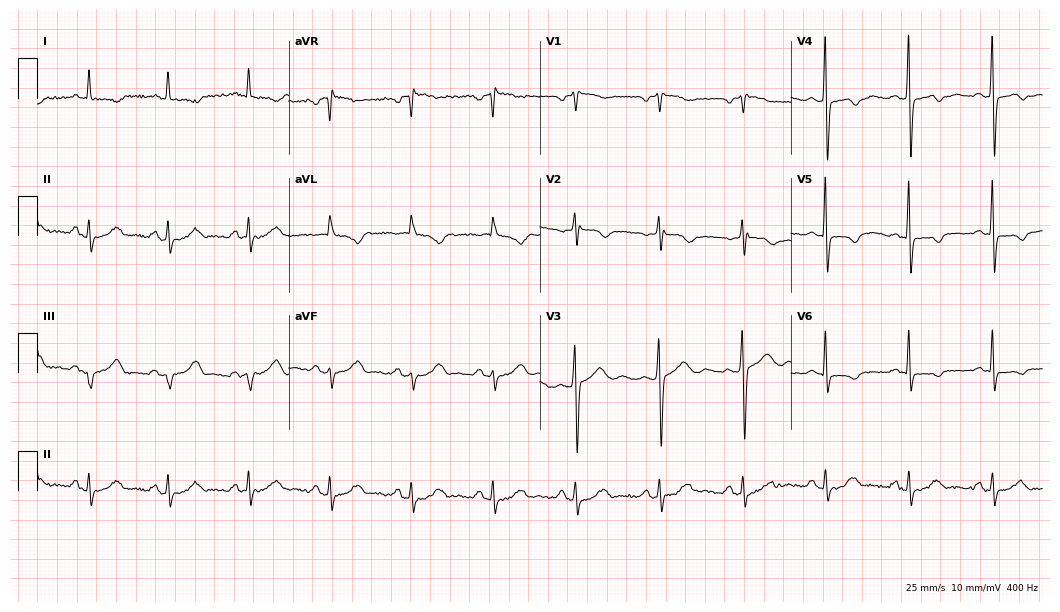
Resting 12-lead electrocardiogram (10.2-second recording at 400 Hz). Patient: a male, 72 years old. None of these six findings is recorded: first-degree AV block, right bundle branch block (RBBB), left bundle branch block (LBBB), sinus bradycardia, atrial fibrillation (AF), sinus tachycardia. Findings outside these six are not listed.